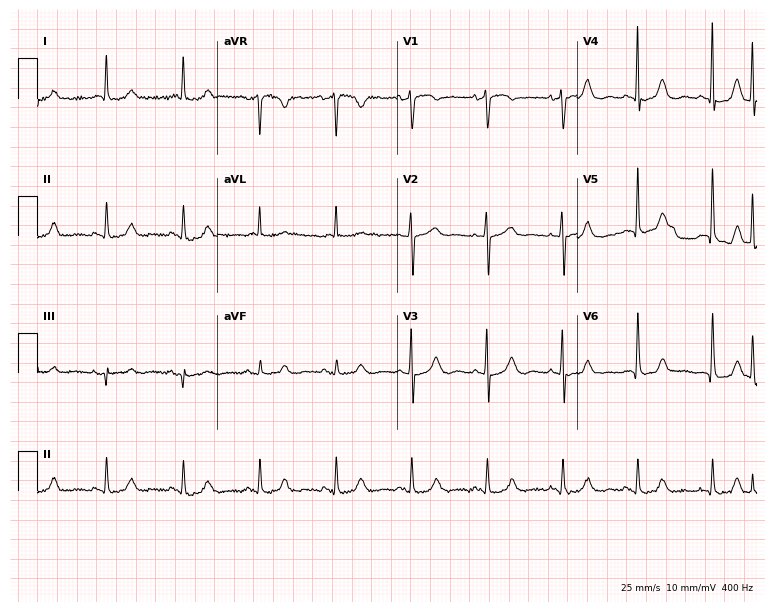
12-lead ECG (7.3-second recording at 400 Hz) from a female, 84 years old. Screened for six findings — first-degree AV block, right bundle branch block, left bundle branch block, sinus bradycardia, atrial fibrillation, sinus tachycardia — none is recorded. Only these six findings were labelled.